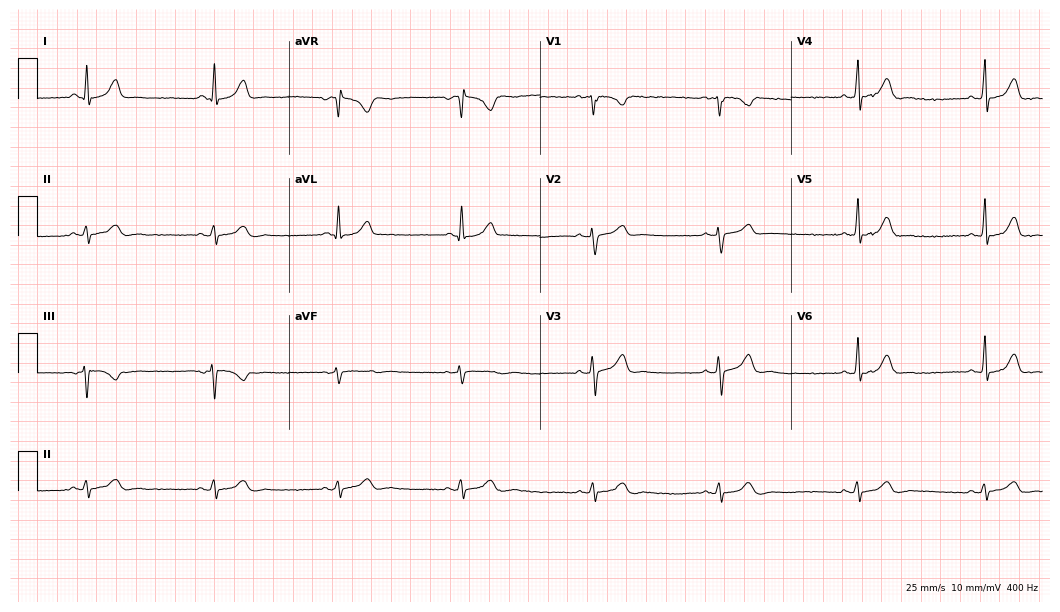
12-lead ECG from a woman, 34 years old (10.2-second recording at 400 Hz). Shows sinus bradycardia (a sinus rate of 50 beats per minute or less).